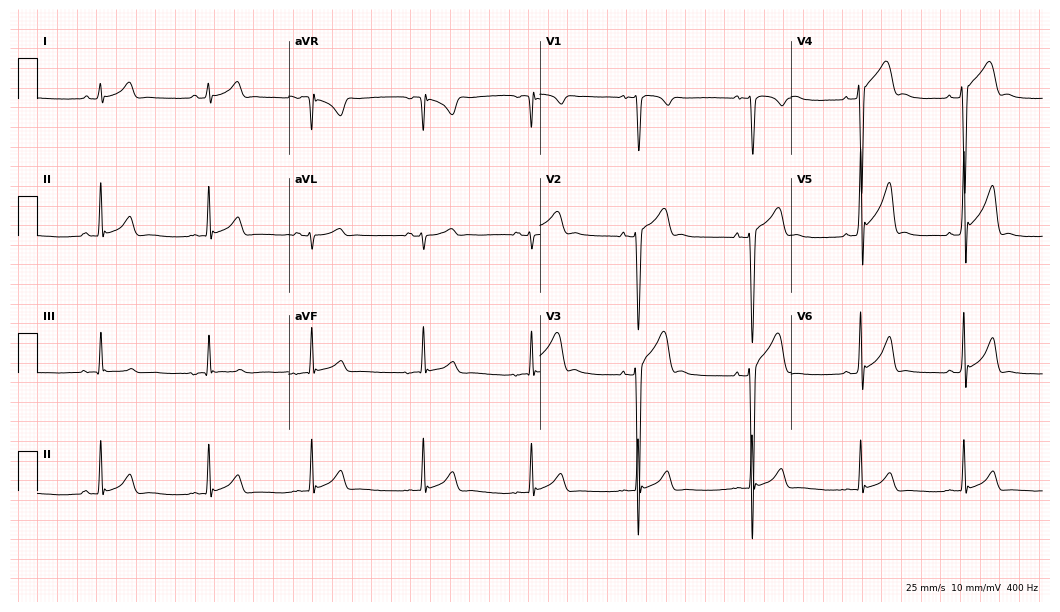
12-lead ECG from a 23-year-old male. No first-degree AV block, right bundle branch block, left bundle branch block, sinus bradycardia, atrial fibrillation or sinus tachycardia recorded for this tracing.